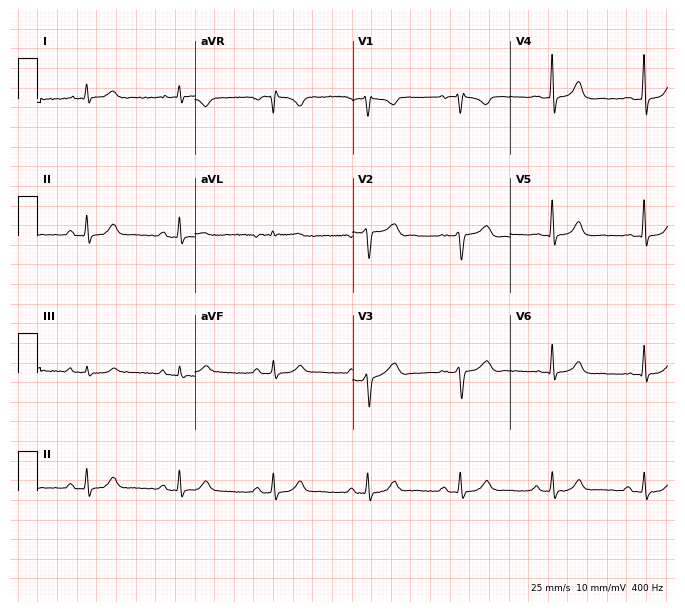
12-lead ECG from a 45-year-old female (6.4-second recording at 400 Hz). No first-degree AV block, right bundle branch block, left bundle branch block, sinus bradycardia, atrial fibrillation or sinus tachycardia recorded for this tracing. Findings outside these six are not listed.